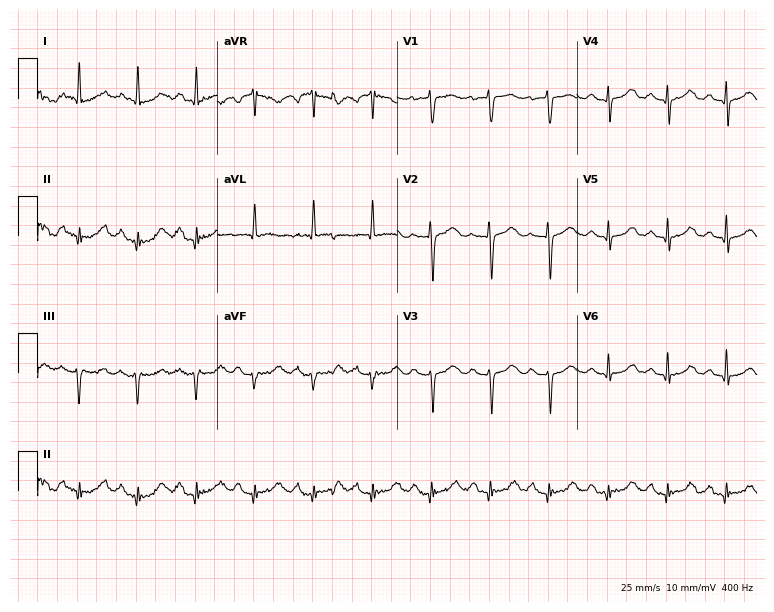
Resting 12-lead electrocardiogram. Patient: a female, 78 years old. None of these six findings is recorded: first-degree AV block, right bundle branch block, left bundle branch block, sinus bradycardia, atrial fibrillation, sinus tachycardia.